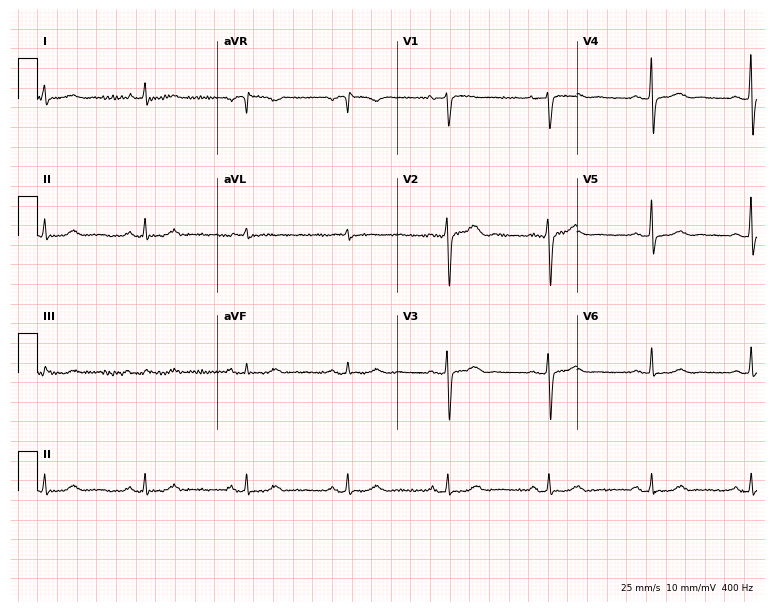
Electrocardiogram, a female, 59 years old. Overall reading on record: normal ECG.